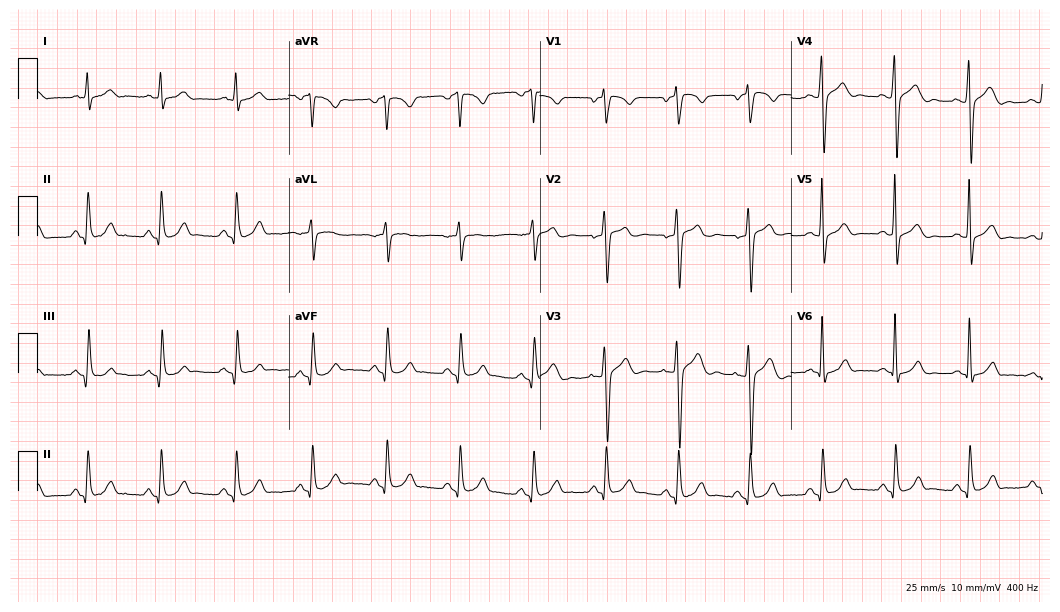
12-lead ECG from a male patient, 32 years old (10.2-second recording at 400 Hz). Recorded interpretation: within normal limits.